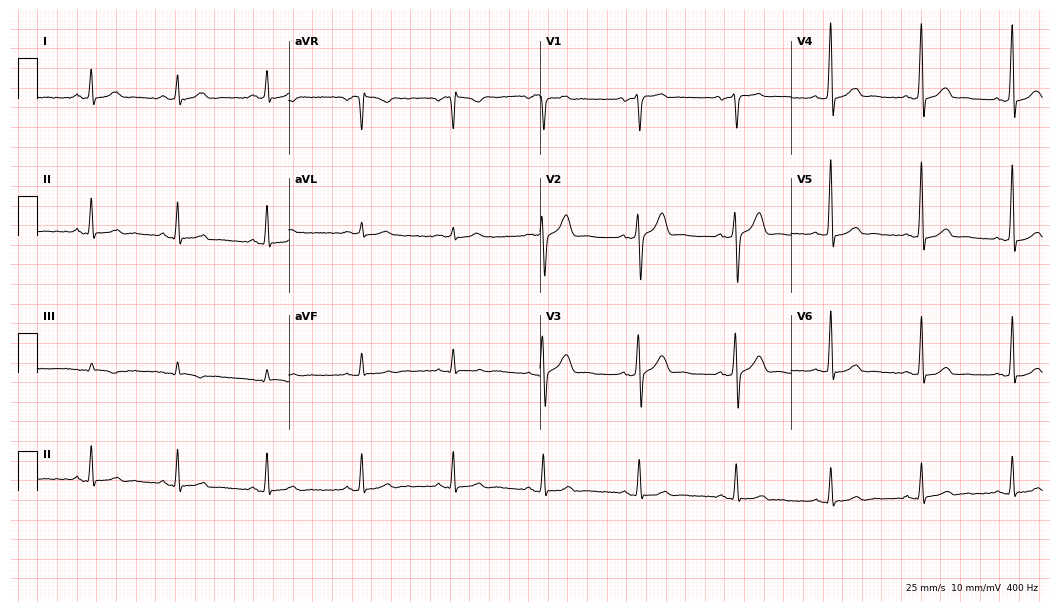
12-lead ECG from an 18-year-old male. Recorded interpretation: within normal limits.